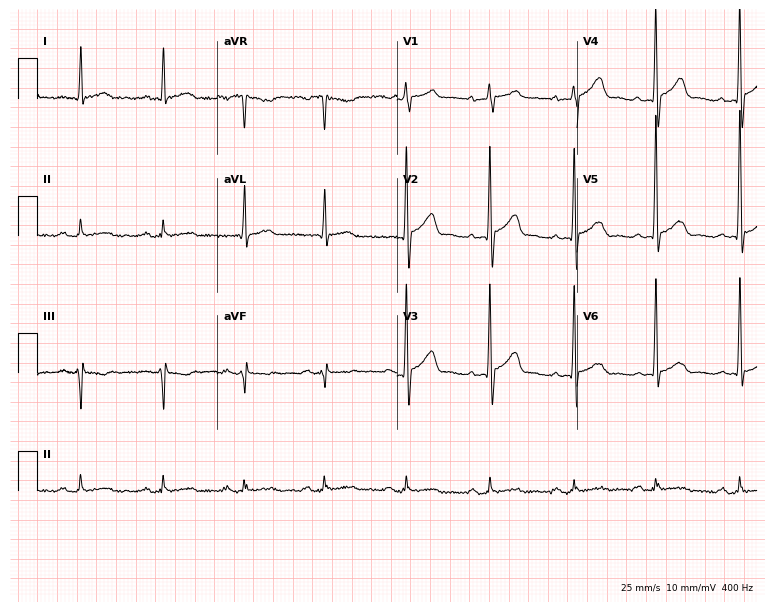
12-lead ECG from a 56-year-old male patient (7.3-second recording at 400 Hz). No first-degree AV block, right bundle branch block (RBBB), left bundle branch block (LBBB), sinus bradycardia, atrial fibrillation (AF) or sinus tachycardia recorded for this tracing.